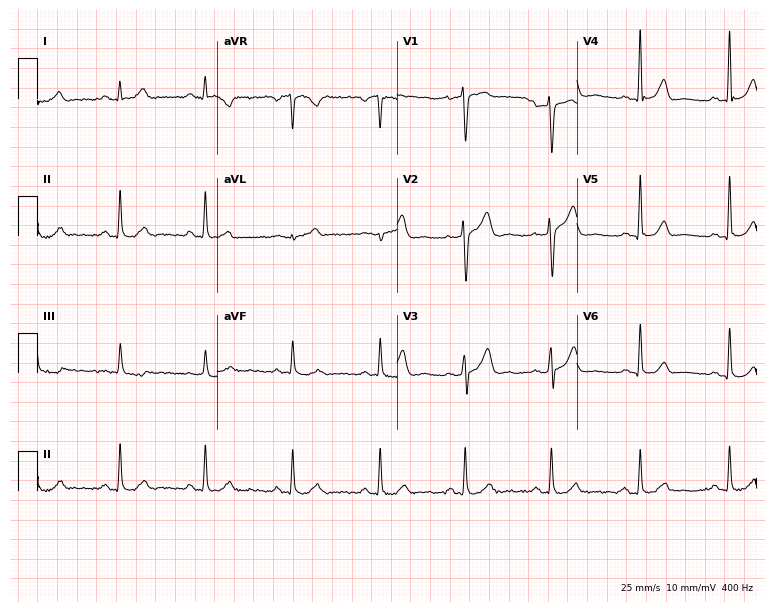
Electrocardiogram (7.3-second recording at 400 Hz), a male, 40 years old. Of the six screened findings (first-degree AV block, right bundle branch block, left bundle branch block, sinus bradycardia, atrial fibrillation, sinus tachycardia), none is recorded. Findings outside these six are not listed.